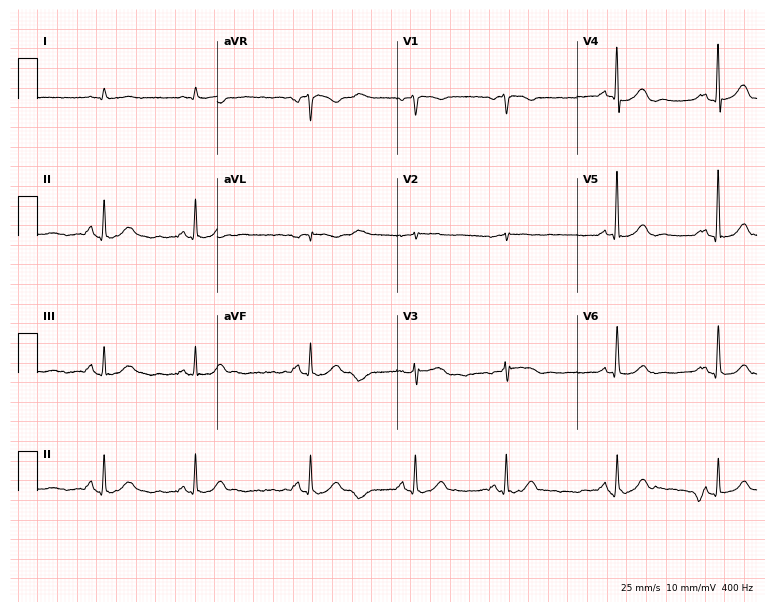
Standard 12-lead ECG recorded from a male, 77 years old (7.3-second recording at 400 Hz). Read as a normal ECG.